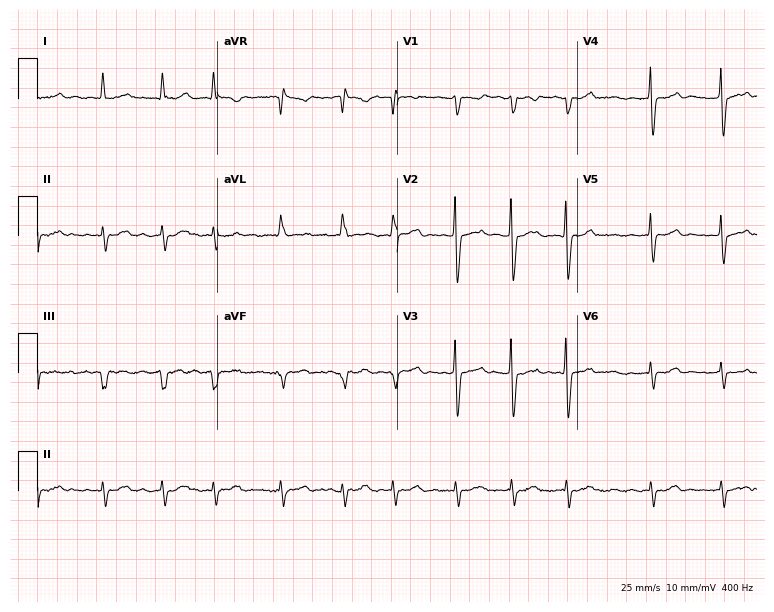
12-lead ECG (7.3-second recording at 400 Hz) from a male, 78 years old. Findings include atrial fibrillation.